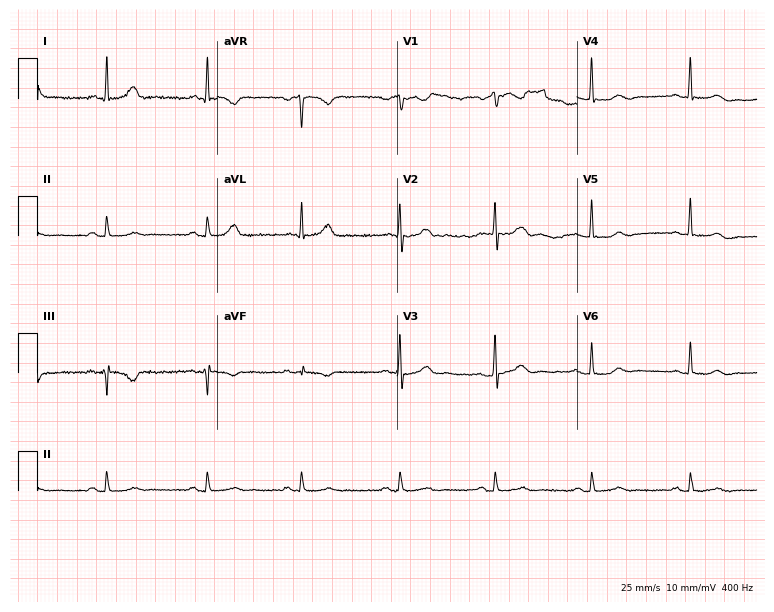
ECG (7.3-second recording at 400 Hz) — a 53-year-old woman. Screened for six findings — first-degree AV block, right bundle branch block, left bundle branch block, sinus bradycardia, atrial fibrillation, sinus tachycardia — none is recorded.